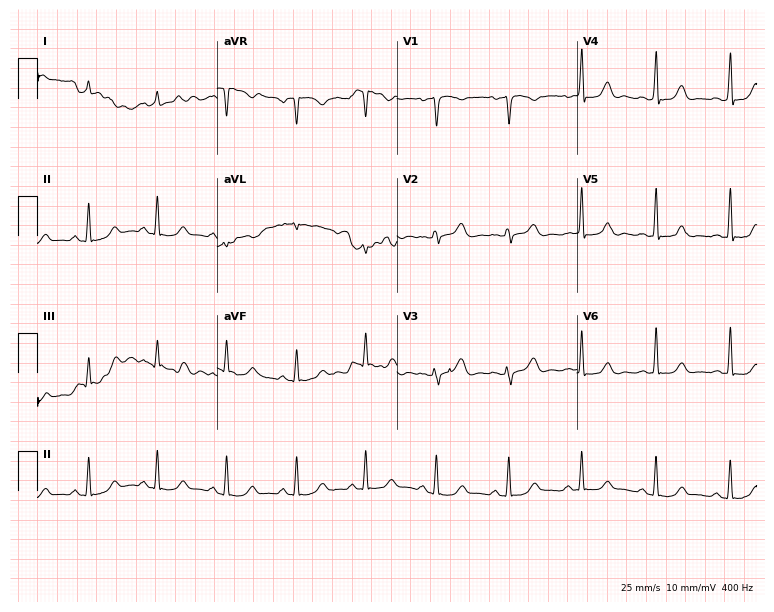
ECG (7.3-second recording at 400 Hz) — a 38-year-old woman. Screened for six findings — first-degree AV block, right bundle branch block (RBBB), left bundle branch block (LBBB), sinus bradycardia, atrial fibrillation (AF), sinus tachycardia — none is recorded.